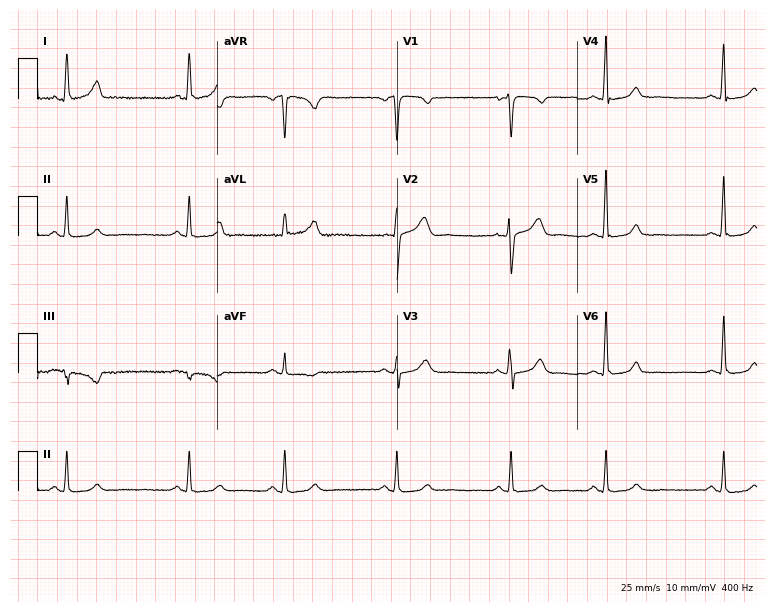
Resting 12-lead electrocardiogram. Patient: a woman, 50 years old. Read as a normal ECG.